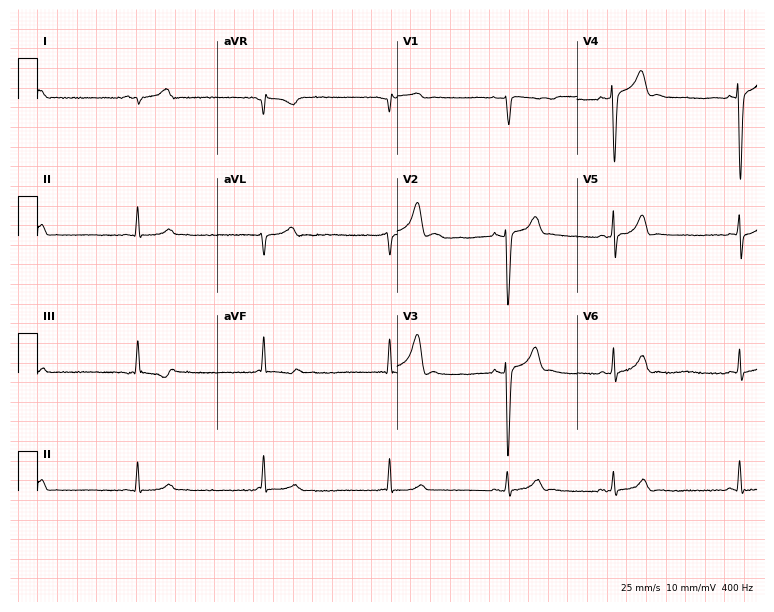
12-lead ECG (7.3-second recording at 400 Hz) from a male patient, 28 years old. Findings include sinus bradycardia (a sinus rate of 50 beats per minute or less).